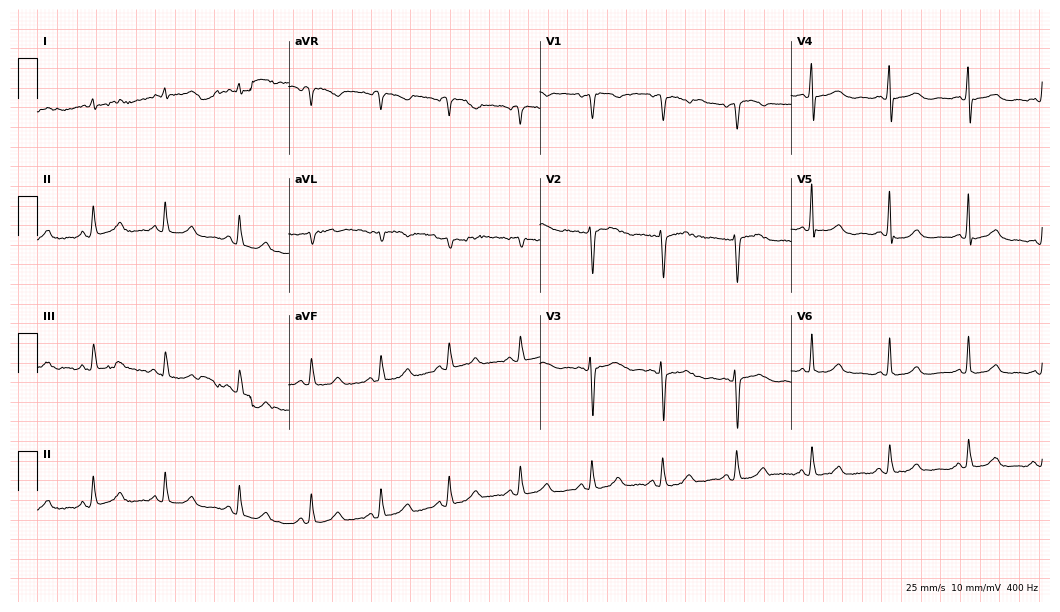
12-lead ECG from a 72-year-old woman. Labelled as a normal ECG.